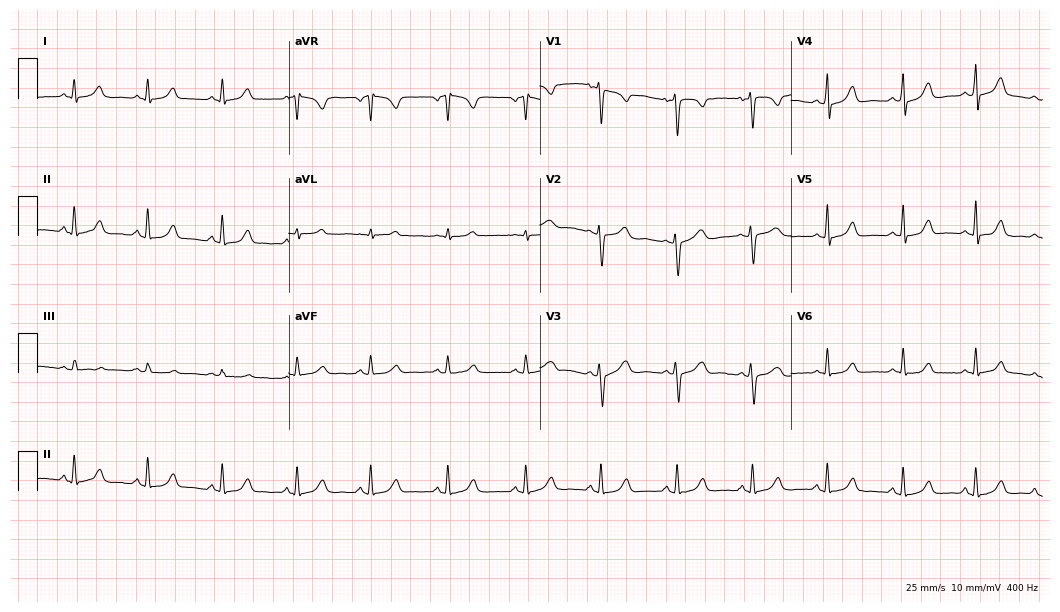
12-lead ECG (10.2-second recording at 400 Hz) from a female, 35 years old. Screened for six findings — first-degree AV block, right bundle branch block, left bundle branch block, sinus bradycardia, atrial fibrillation, sinus tachycardia — none is recorded. Other findings, if any, are not listed.